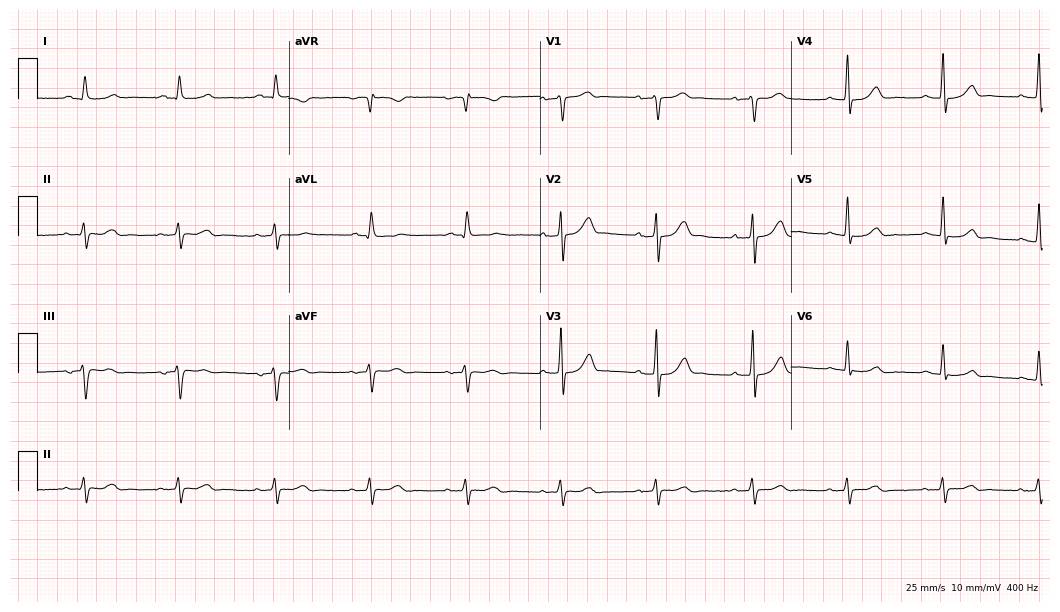
12-lead ECG (10.2-second recording at 400 Hz) from a male patient, 79 years old. Screened for six findings — first-degree AV block, right bundle branch block, left bundle branch block, sinus bradycardia, atrial fibrillation, sinus tachycardia — none is recorded. Other findings, if any, are not listed.